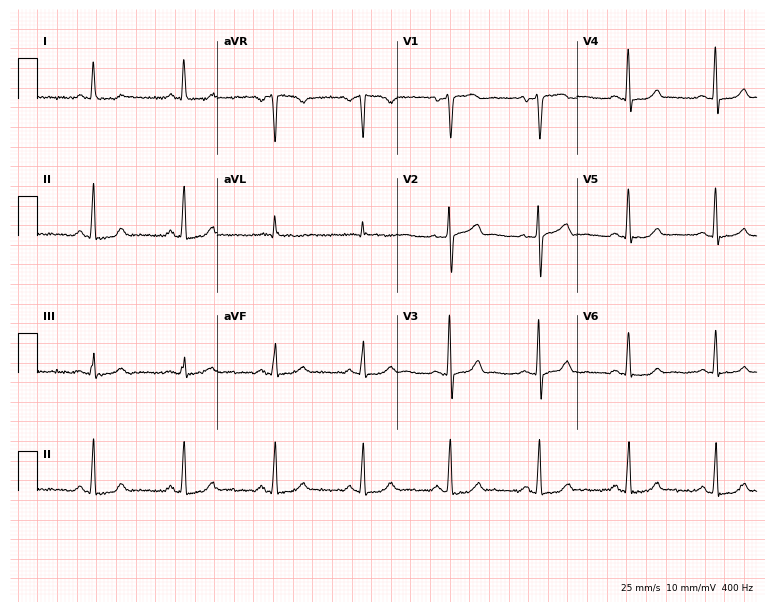
Electrocardiogram (7.3-second recording at 400 Hz), a 34-year-old female. Overall reading on record: normal ECG.